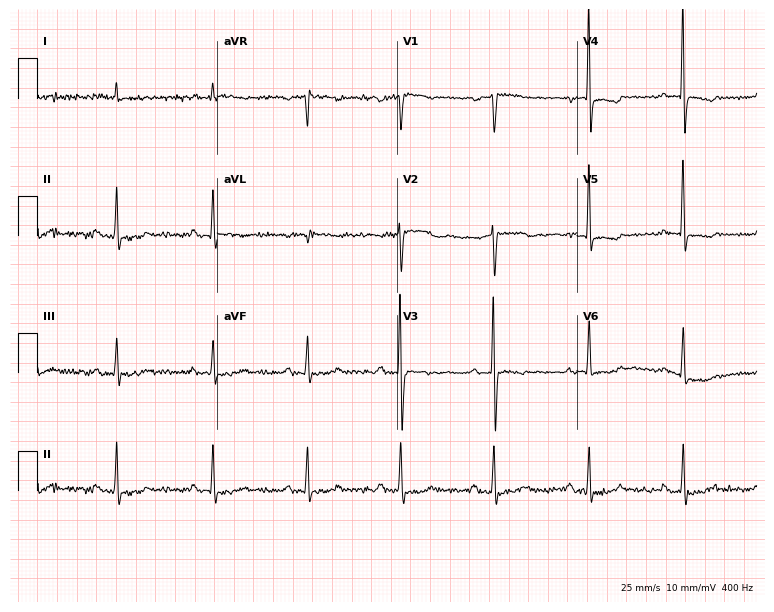
ECG — a male, 83 years old. Screened for six findings — first-degree AV block, right bundle branch block, left bundle branch block, sinus bradycardia, atrial fibrillation, sinus tachycardia — none is recorded. Only these six findings were labelled.